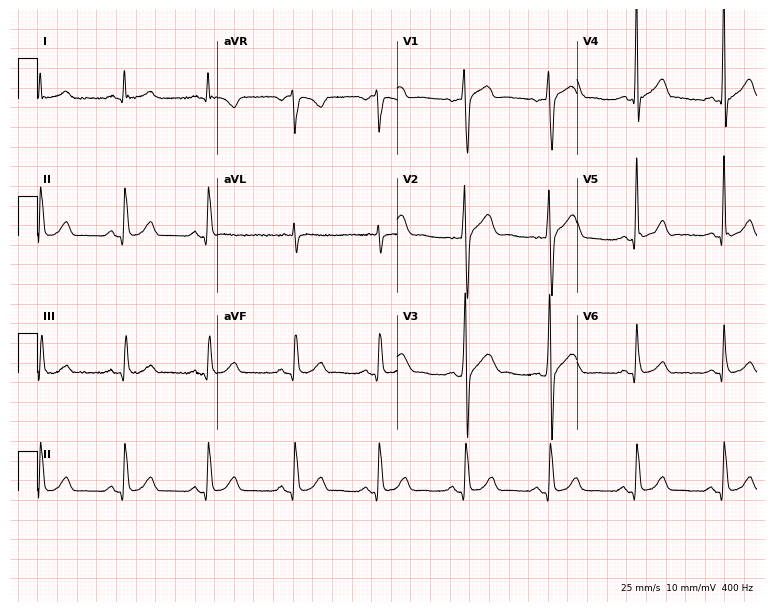
Electrocardiogram (7.3-second recording at 400 Hz), a male, 32 years old. Overall reading on record: normal ECG.